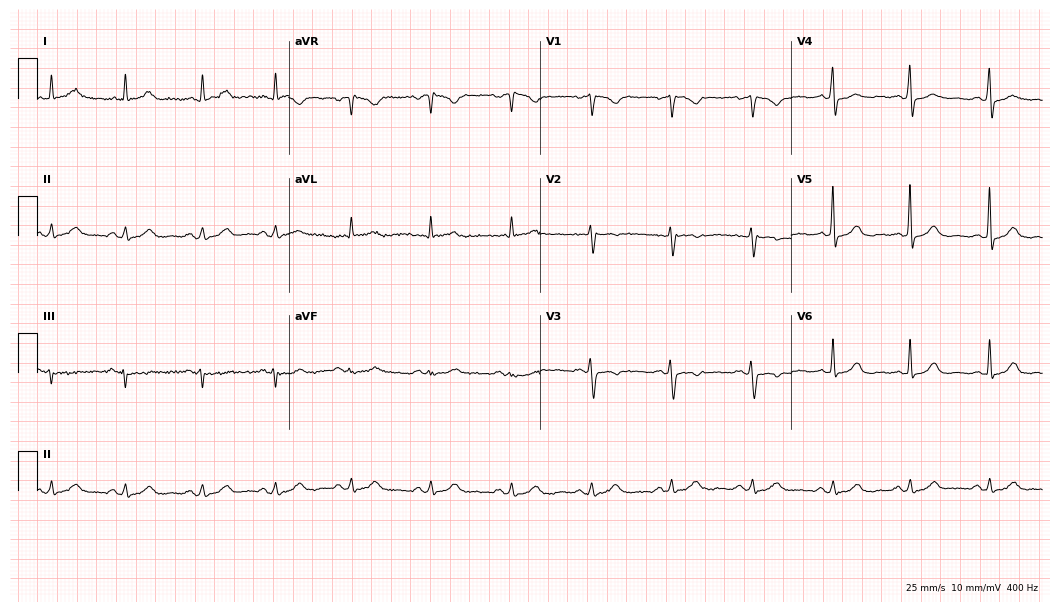
12-lead ECG from a 46-year-old female patient. No first-degree AV block, right bundle branch block (RBBB), left bundle branch block (LBBB), sinus bradycardia, atrial fibrillation (AF) or sinus tachycardia recorded for this tracing.